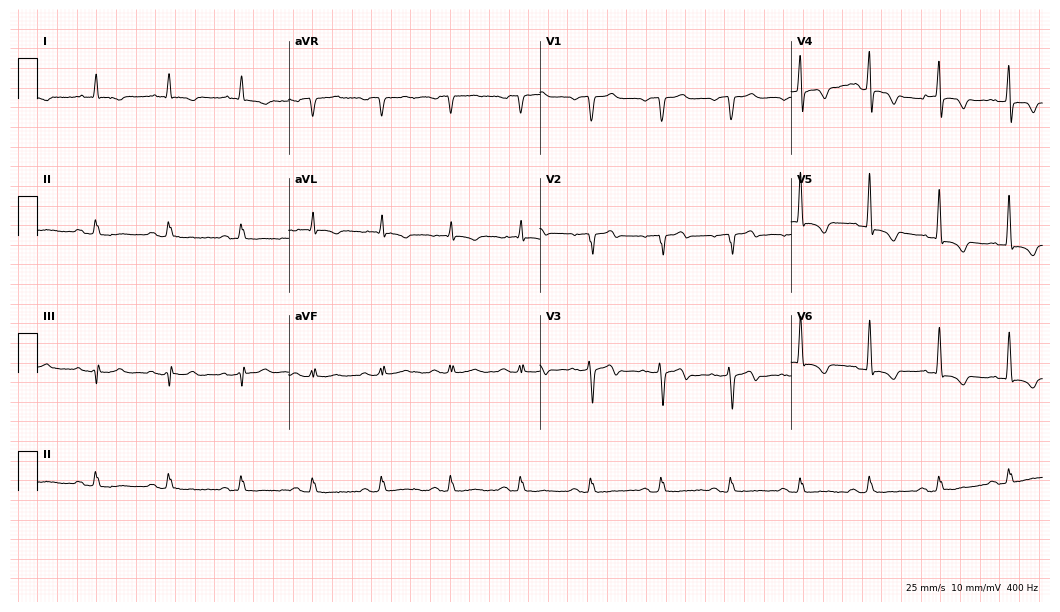
Resting 12-lead electrocardiogram. Patient: a male, 79 years old. None of these six findings is recorded: first-degree AV block, right bundle branch block, left bundle branch block, sinus bradycardia, atrial fibrillation, sinus tachycardia.